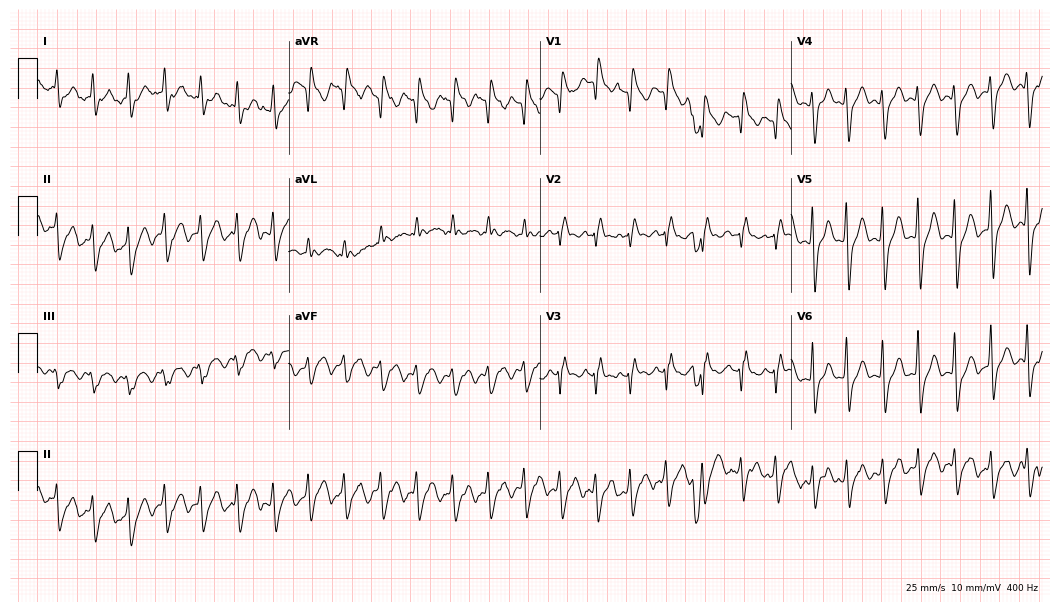
Resting 12-lead electrocardiogram (10.2-second recording at 400 Hz). Patient: a male, 38 years old. The tracing shows right bundle branch block, atrial fibrillation.